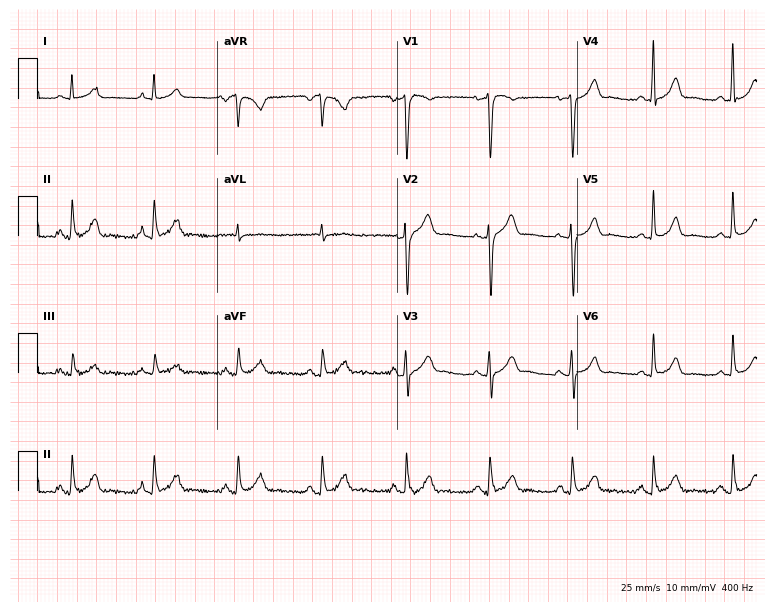
Electrocardiogram (7.3-second recording at 400 Hz), a 50-year-old male. Overall reading on record: normal ECG.